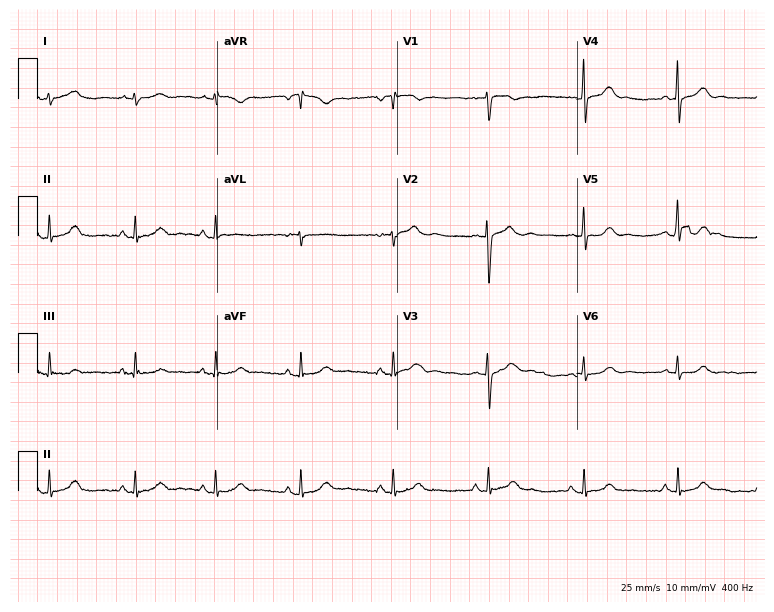
Resting 12-lead electrocardiogram. Patient: a female, 33 years old. None of these six findings is recorded: first-degree AV block, right bundle branch block, left bundle branch block, sinus bradycardia, atrial fibrillation, sinus tachycardia. Findings outside these six are not listed.